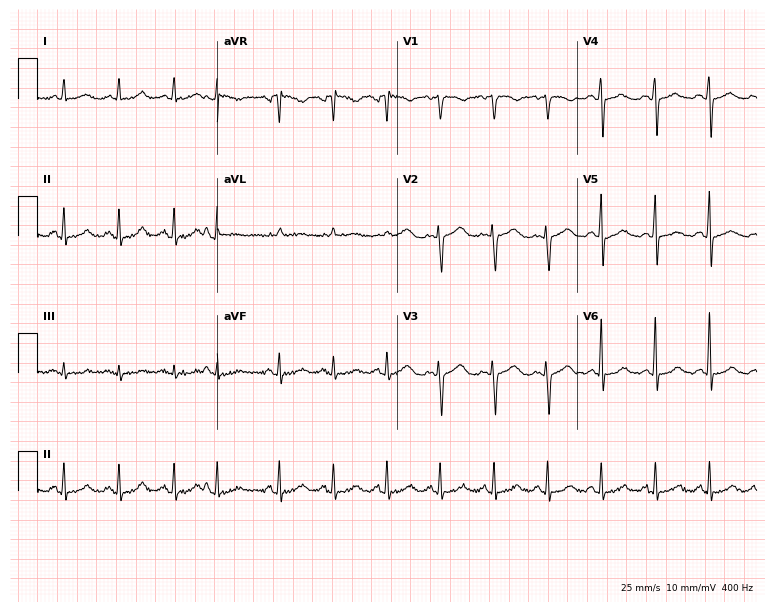
Standard 12-lead ECG recorded from a 44-year-old female patient. The tracing shows sinus tachycardia (a sinus rate of 100 beats per minute or more).